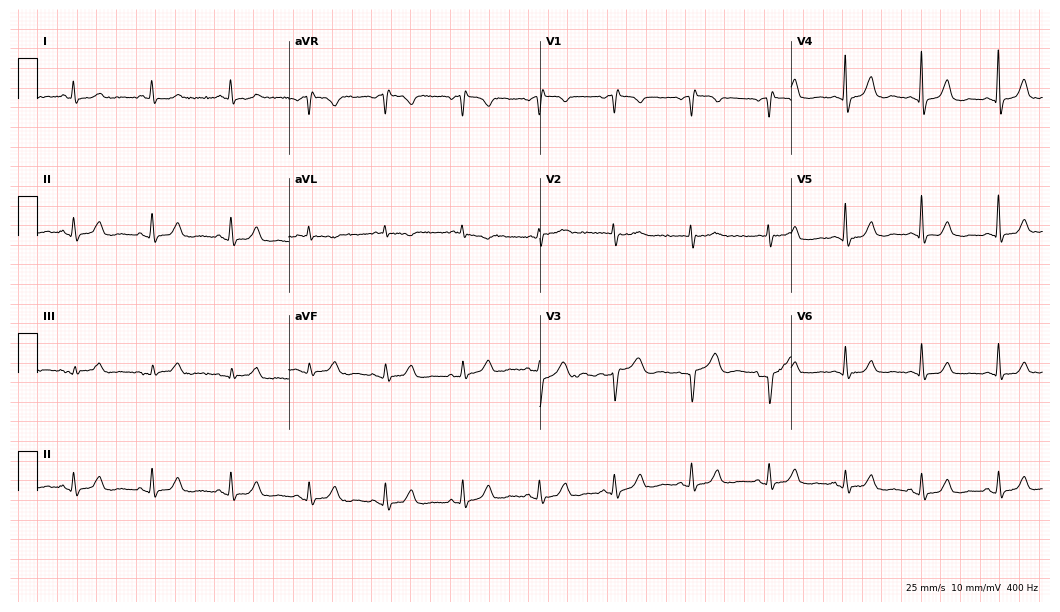
Standard 12-lead ECG recorded from a female patient, 62 years old (10.2-second recording at 400 Hz). Read as a normal ECG.